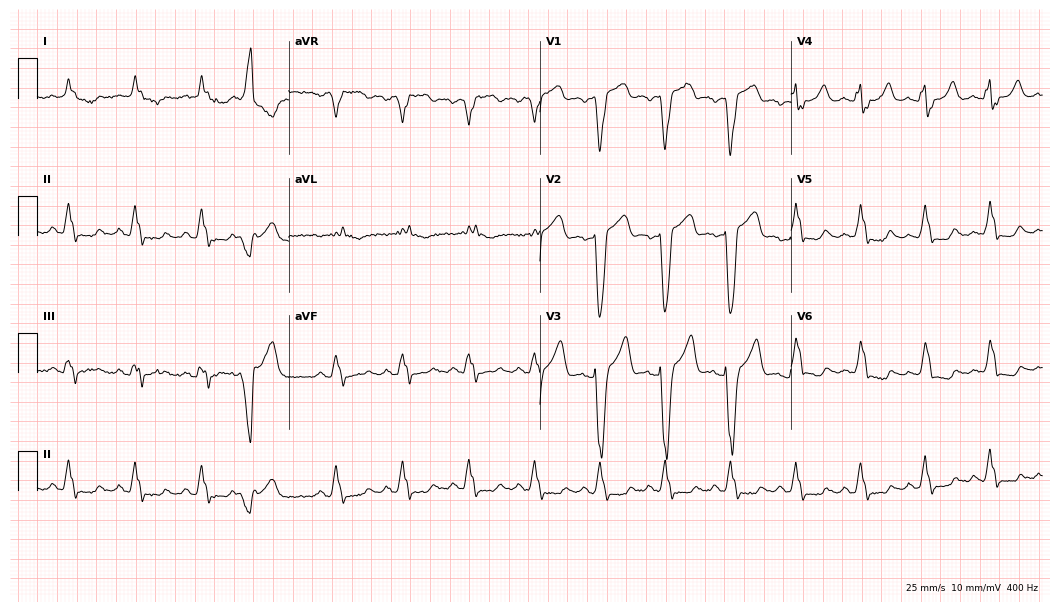
12-lead ECG from a 55-year-old male patient (10.2-second recording at 400 Hz). Shows left bundle branch block (LBBB).